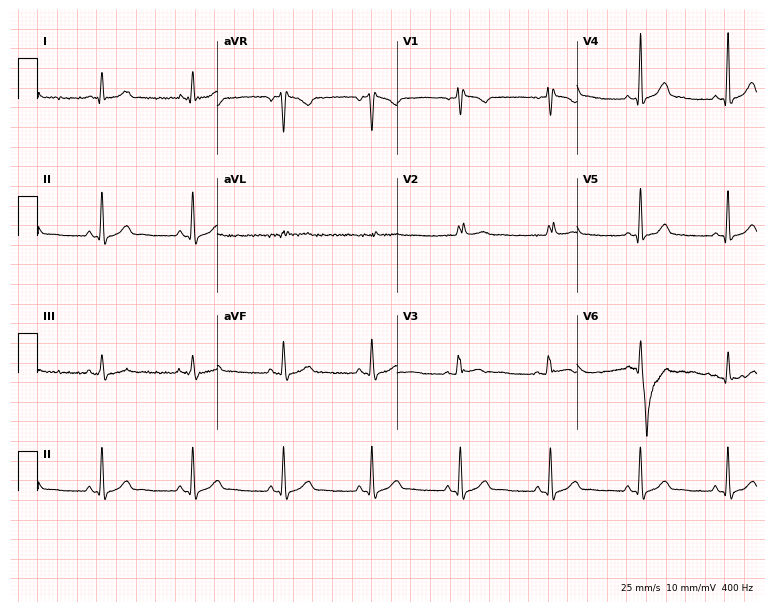
ECG (7.3-second recording at 400 Hz) — a woman, 38 years old. Screened for six findings — first-degree AV block, right bundle branch block, left bundle branch block, sinus bradycardia, atrial fibrillation, sinus tachycardia — none is recorded.